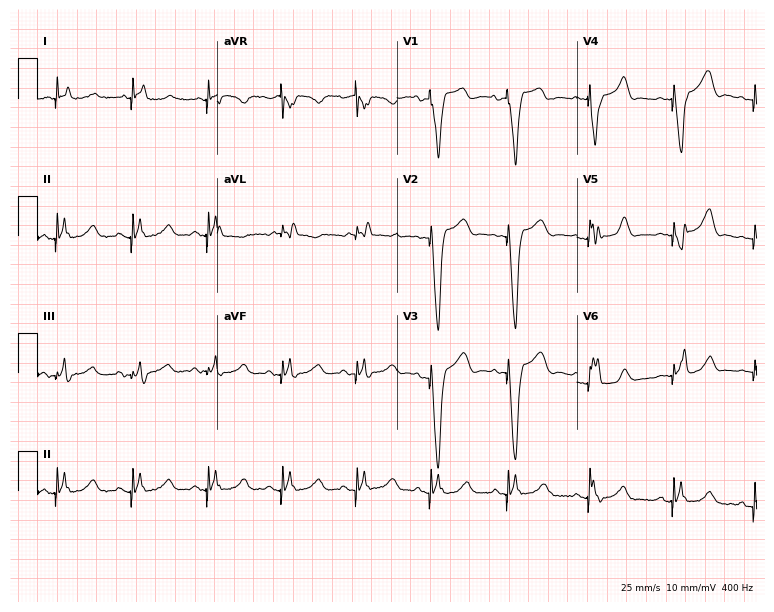
Resting 12-lead electrocardiogram (7.3-second recording at 400 Hz). Patient: an 81-year-old female. None of these six findings is recorded: first-degree AV block, right bundle branch block, left bundle branch block, sinus bradycardia, atrial fibrillation, sinus tachycardia. Findings outside these six are not listed.